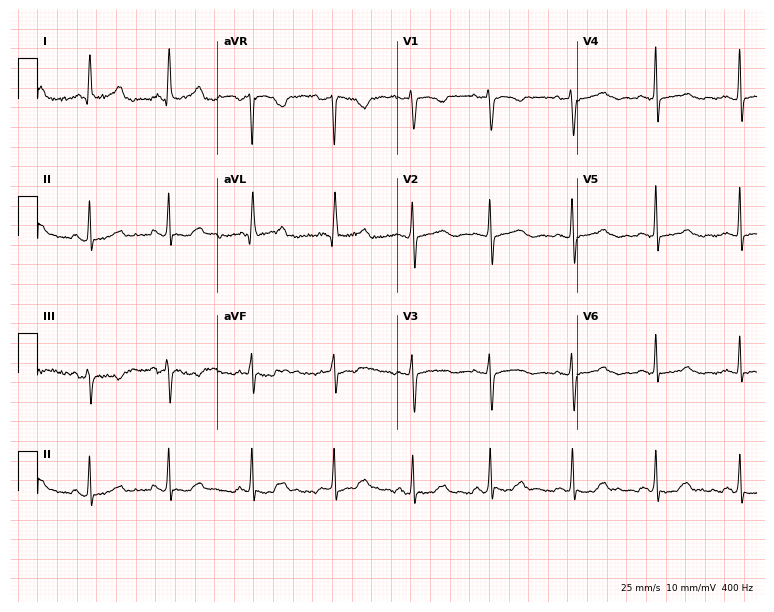
Standard 12-lead ECG recorded from a 36-year-old female. Read as a normal ECG.